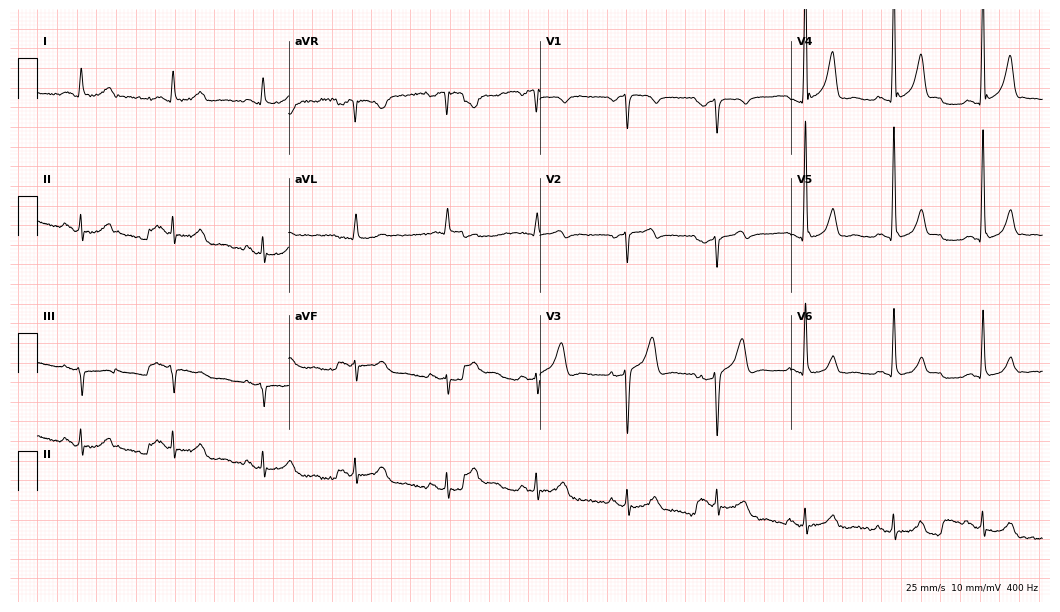
12-lead ECG from a man, 54 years old (10.2-second recording at 400 Hz). No first-degree AV block, right bundle branch block (RBBB), left bundle branch block (LBBB), sinus bradycardia, atrial fibrillation (AF) or sinus tachycardia recorded for this tracing.